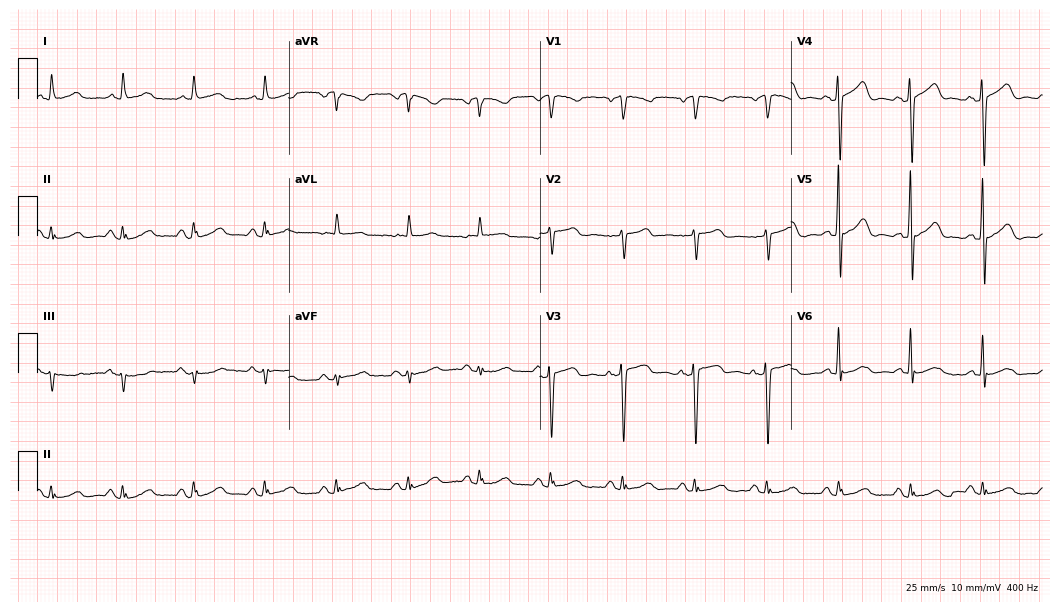
ECG (10.2-second recording at 400 Hz) — a 66-year-old woman. Labelled as a normal ECG.